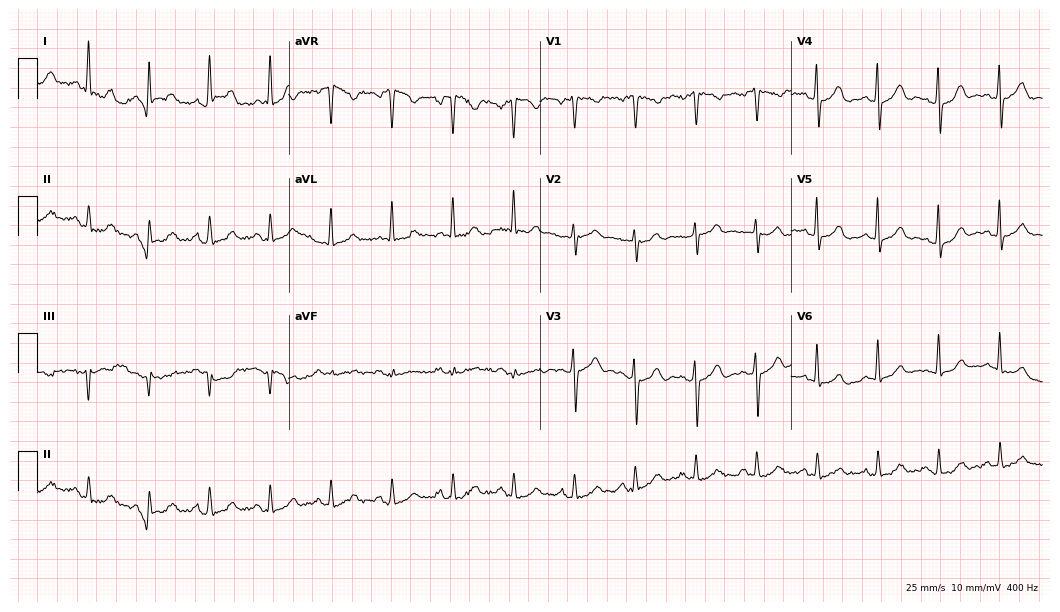
Electrocardiogram (10.2-second recording at 400 Hz), a female patient, 58 years old. Overall reading on record: normal ECG.